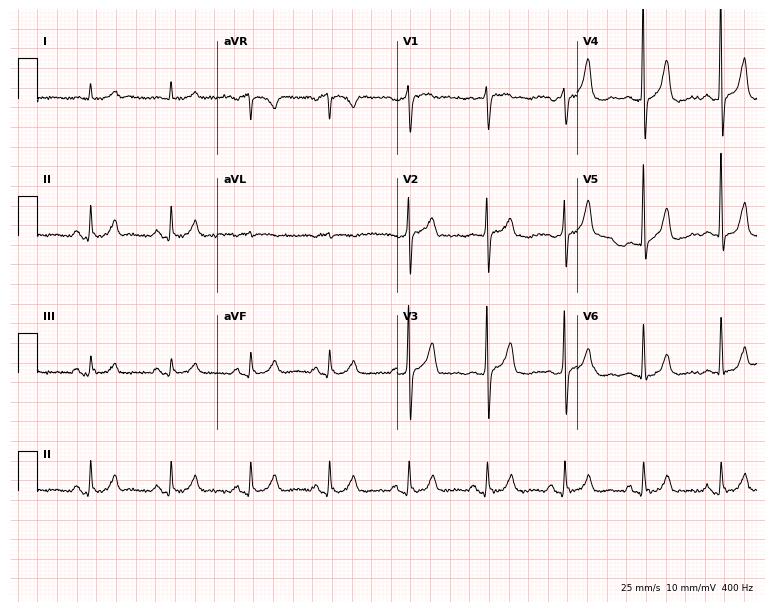
Electrocardiogram (7.3-second recording at 400 Hz), a man, 62 years old. Overall reading on record: normal ECG.